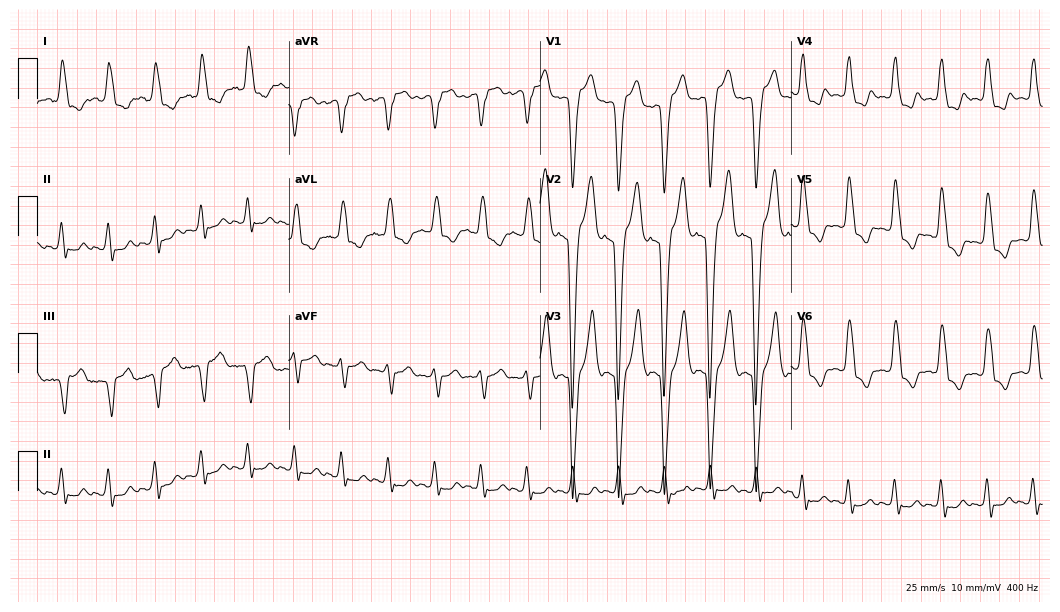
12-lead ECG (10.2-second recording at 400 Hz) from a 41-year-old female patient. Findings include sinus tachycardia (a sinus rate of 100 beats per minute or more).